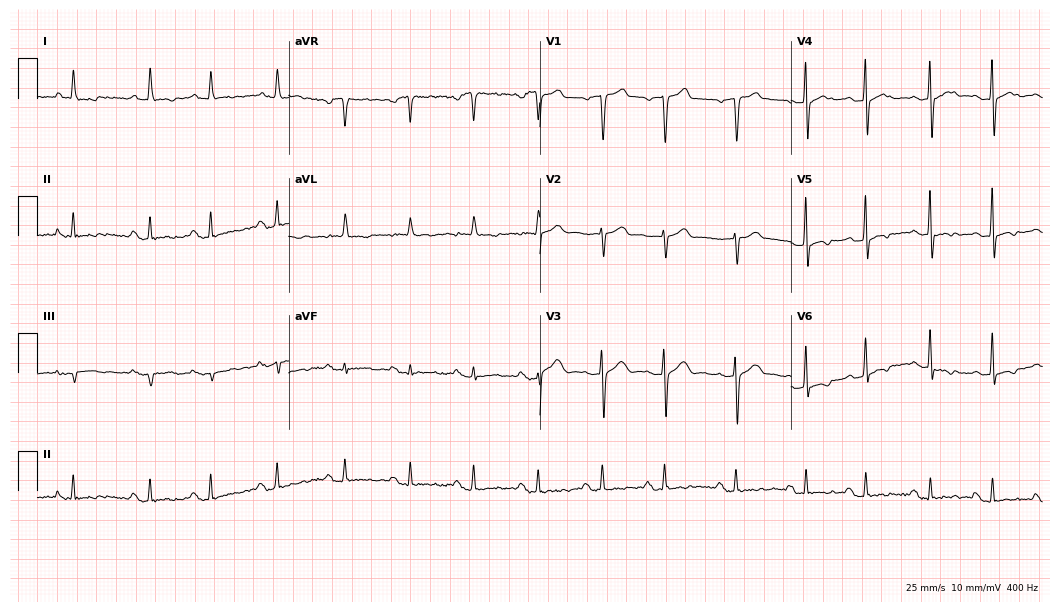
12-lead ECG from a male patient, 65 years old. Labelled as a normal ECG.